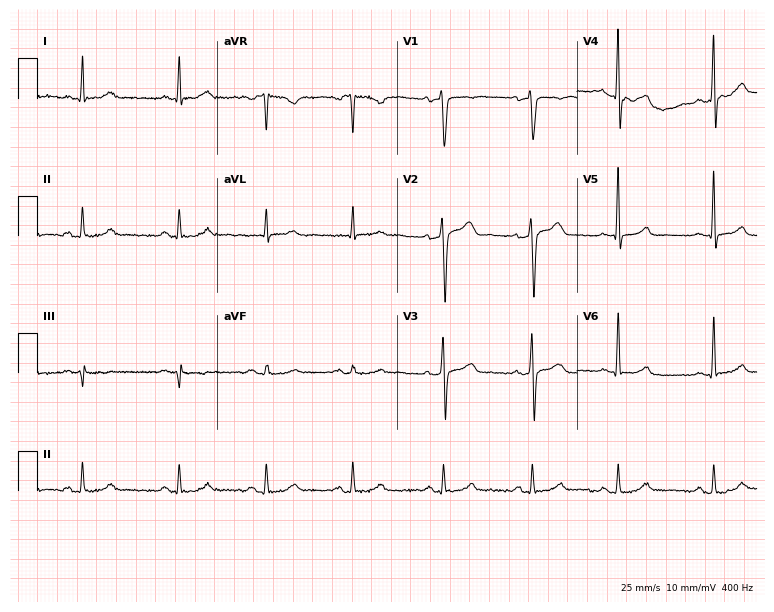
Electrocardiogram (7.3-second recording at 400 Hz), a man, 47 years old. Overall reading on record: normal ECG.